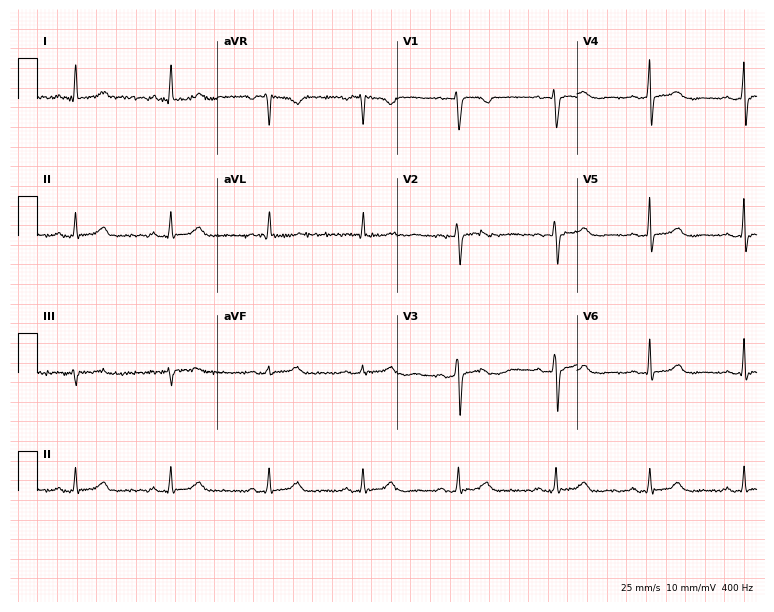
12-lead ECG from a 41-year-old female patient. Labelled as a normal ECG.